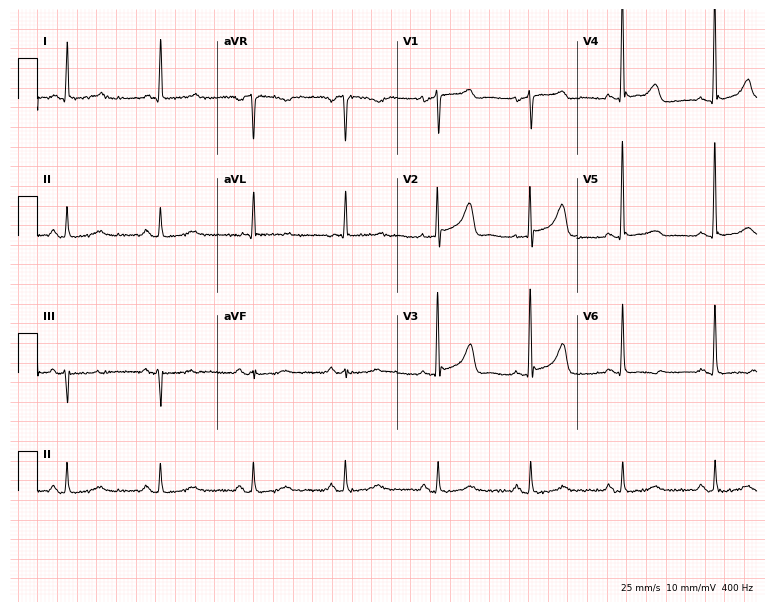
12-lead ECG from a 78-year-old female. Screened for six findings — first-degree AV block, right bundle branch block, left bundle branch block, sinus bradycardia, atrial fibrillation, sinus tachycardia — none is recorded.